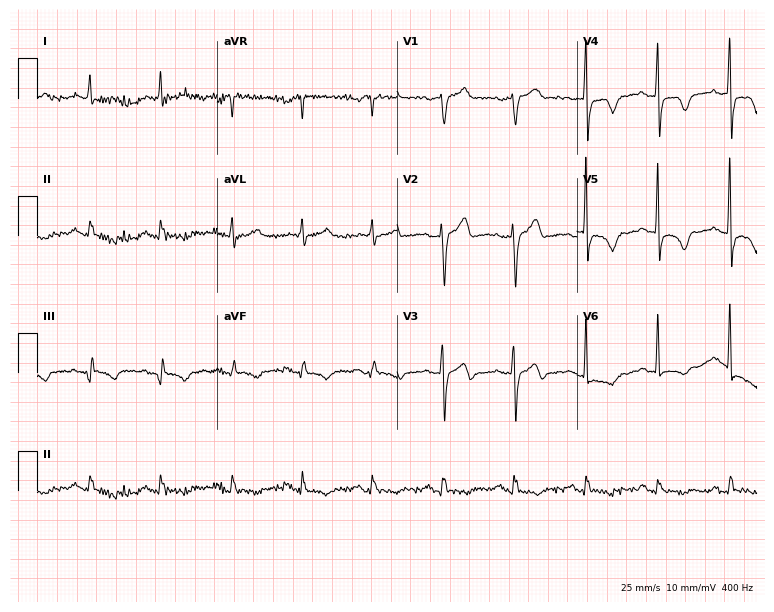
Resting 12-lead electrocardiogram. Patient: a 60-year-old male. None of these six findings is recorded: first-degree AV block, right bundle branch block (RBBB), left bundle branch block (LBBB), sinus bradycardia, atrial fibrillation (AF), sinus tachycardia. Other findings, if any, are not listed.